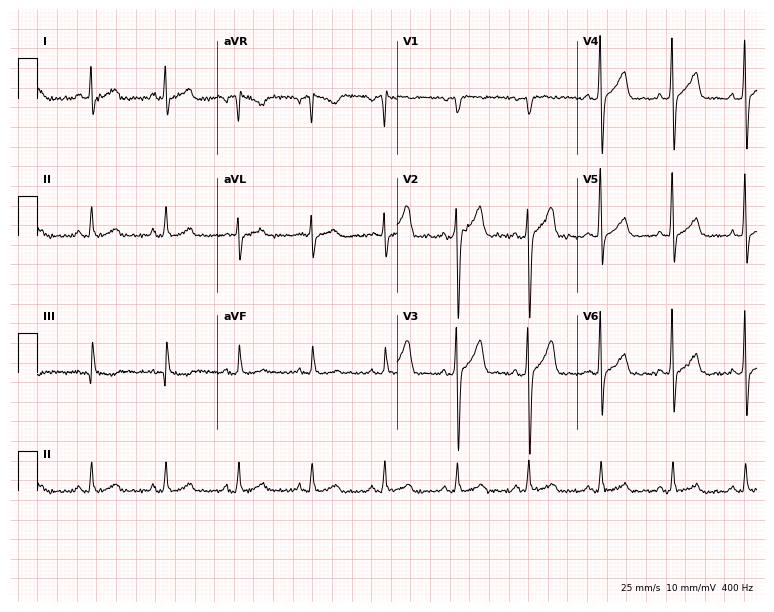
Standard 12-lead ECG recorded from a 47-year-old male patient. Read as a normal ECG.